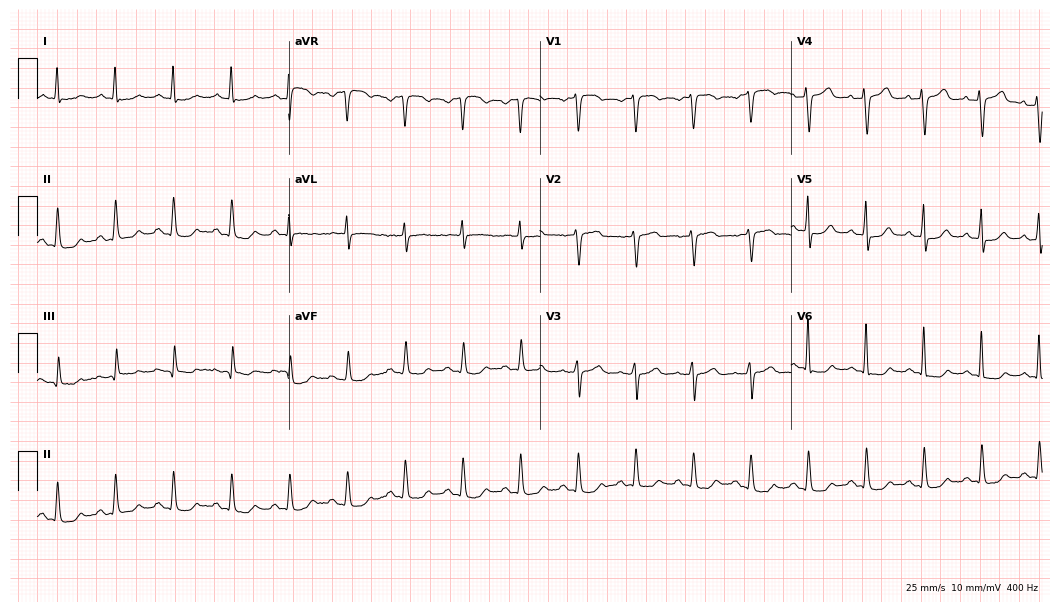
12-lead ECG from a woman, 71 years old. Findings include sinus tachycardia (a sinus rate of 100 beats per minute or more).